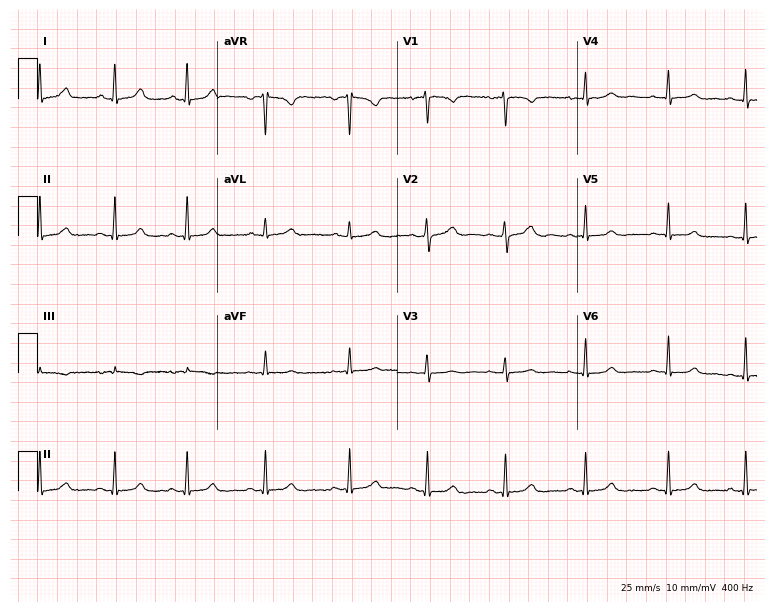
Resting 12-lead electrocardiogram (7.3-second recording at 400 Hz). Patient: a 30-year-old female. Read as a normal ECG.